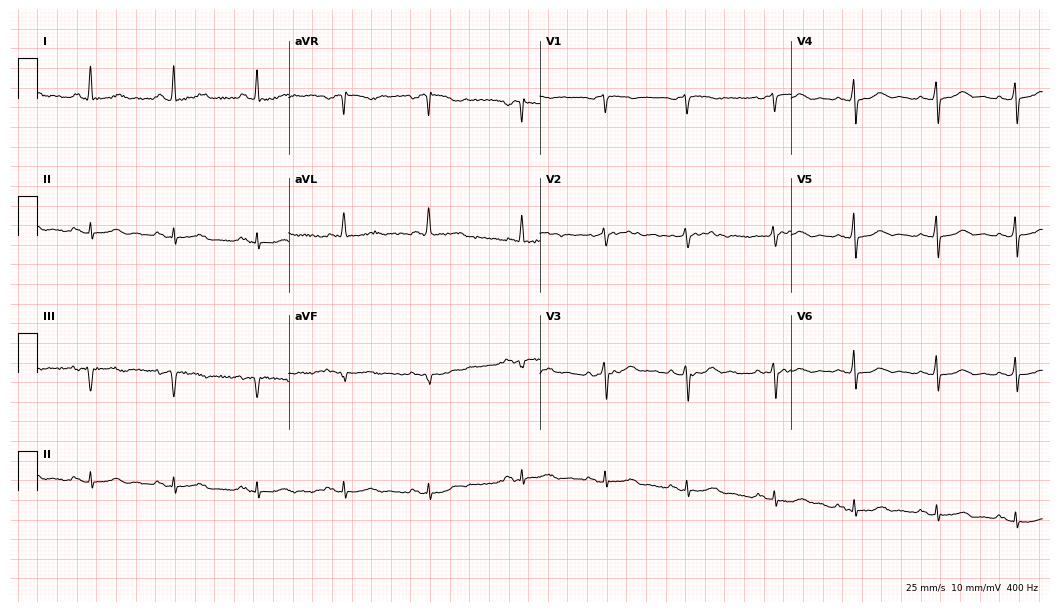
12-lead ECG from a 67-year-old female. Screened for six findings — first-degree AV block, right bundle branch block, left bundle branch block, sinus bradycardia, atrial fibrillation, sinus tachycardia — none is recorded. Other findings, if any, are not listed.